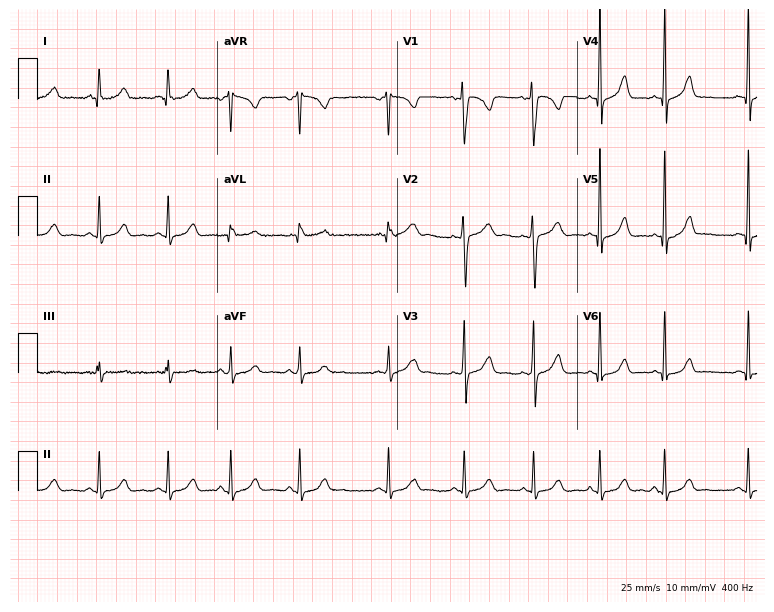
12-lead ECG from a female patient, 17 years old (7.3-second recording at 400 Hz). No first-degree AV block, right bundle branch block, left bundle branch block, sinus bradycardia, atrial fibrillation or sinus tachycardia recorded for this tracing.